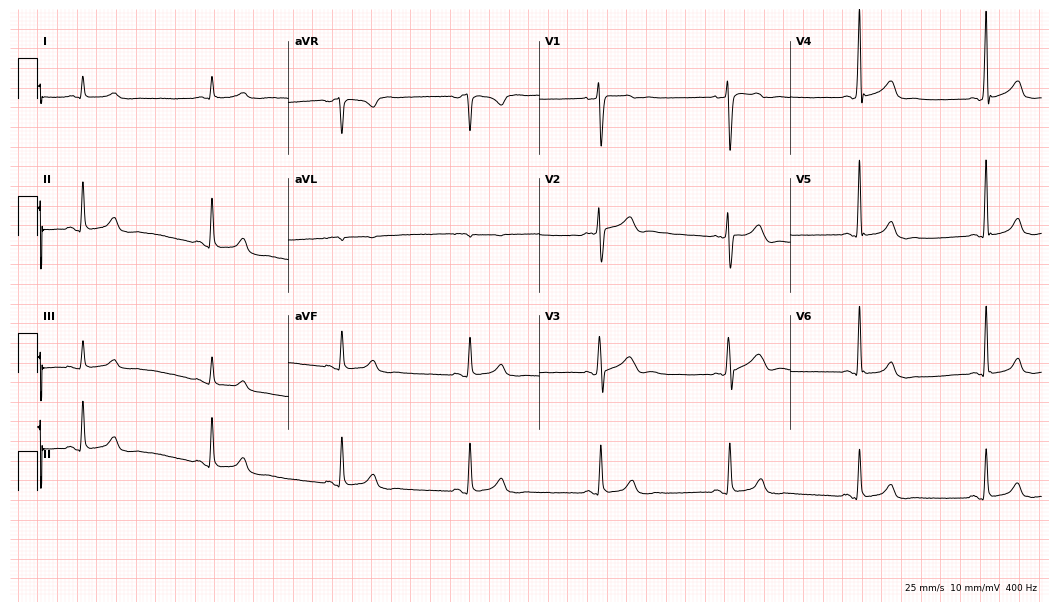
Electrocardiogram, a 64-year-old male patient. Interpretation includes sinus bradycardia (a sinus rate of 50 beats per minute or less).